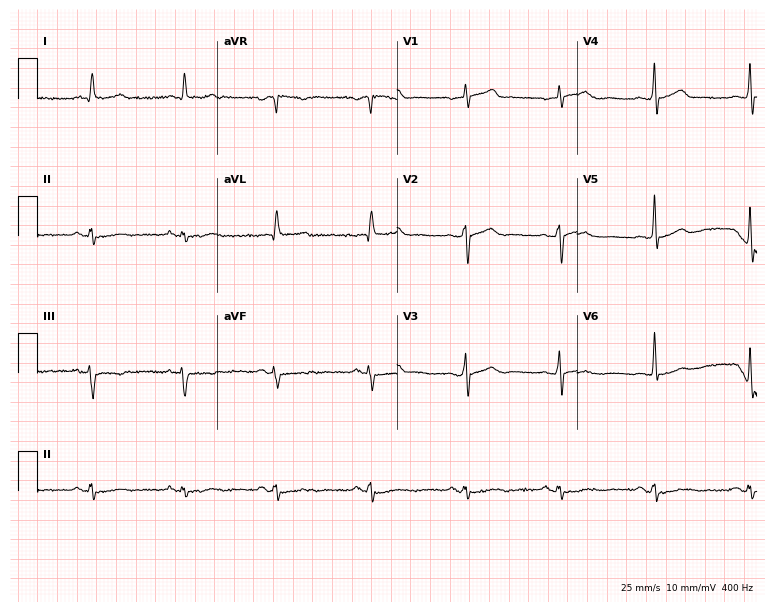
Standard 12-lead ECG recorded from a 75-year-old male (7.3-second recording at 400 Hz). None of these six findings is recorded: first-degree AV block, right bundle branch block, left bundle branch block, sinus bradycardia, atrial fibrillation, sinus tachycardia.